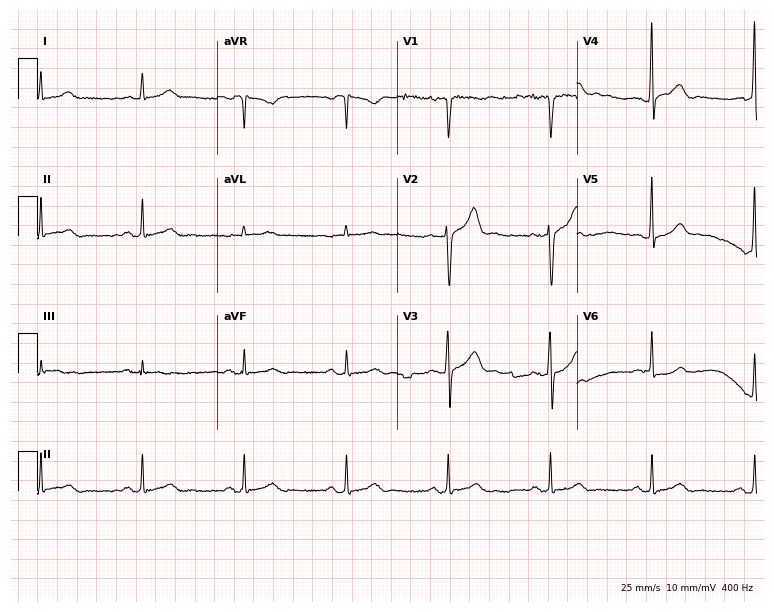
Standard 12-lead ECG recorded from a male patient, 64 years old. Read as a normal ECG.